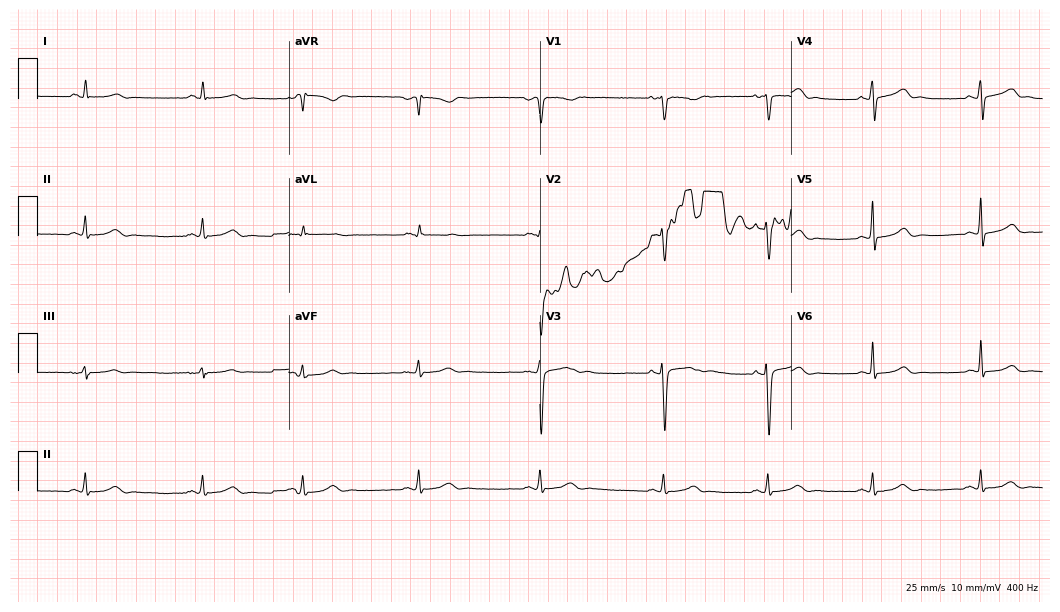
Resting 12-lead electrocardiogram. Patient: a 26-year-old female. None of these six findings is recorded: first-degree AV block, right bundle branch block, left bundle branch block, sinus bradycardia, atrial fibrillation, sinus tachycardia.